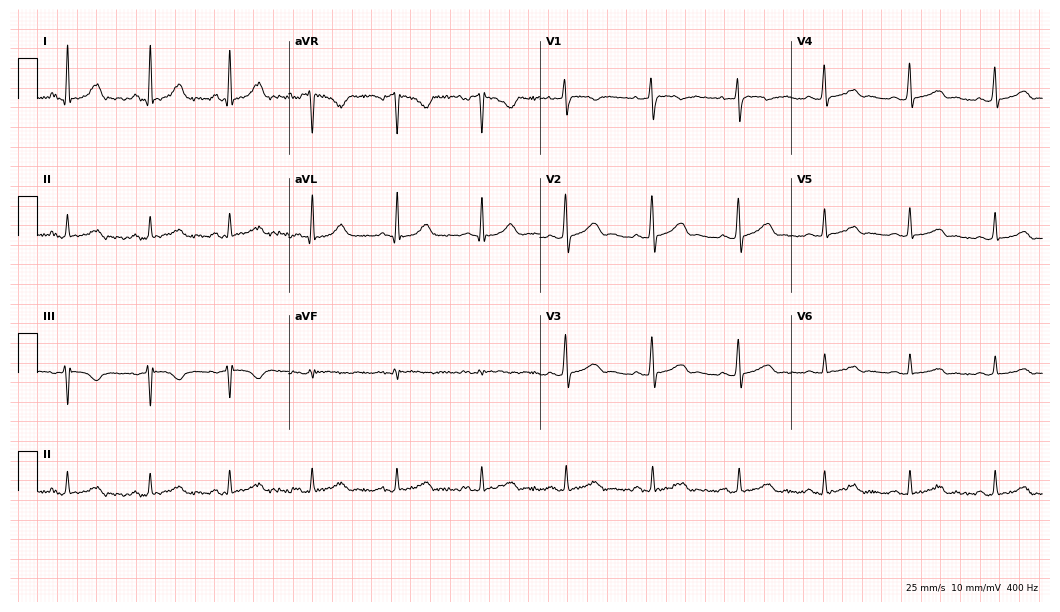
12-lead ECG from a female patient, 43 years old. Recorded interpretation: within normal limits.